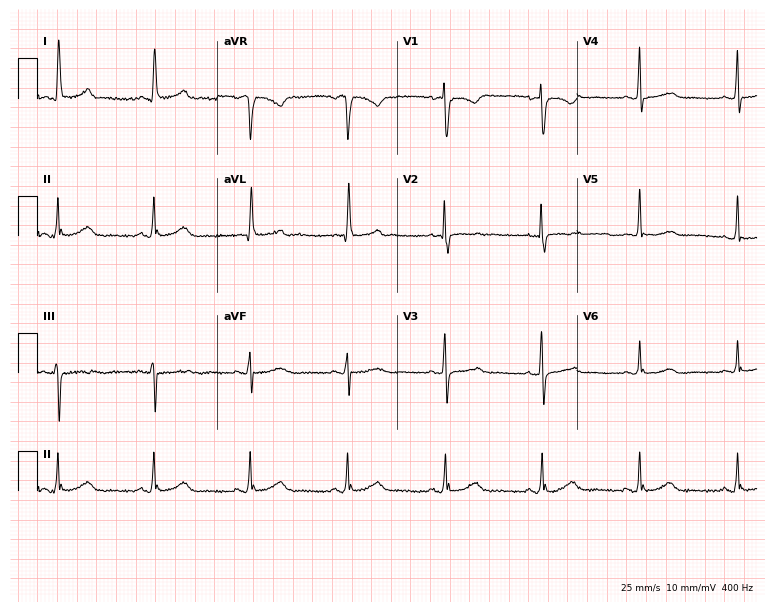
Resting 12-lead electrocardiogram. Patient: a female, 78 years old. Read as a normal ECG.